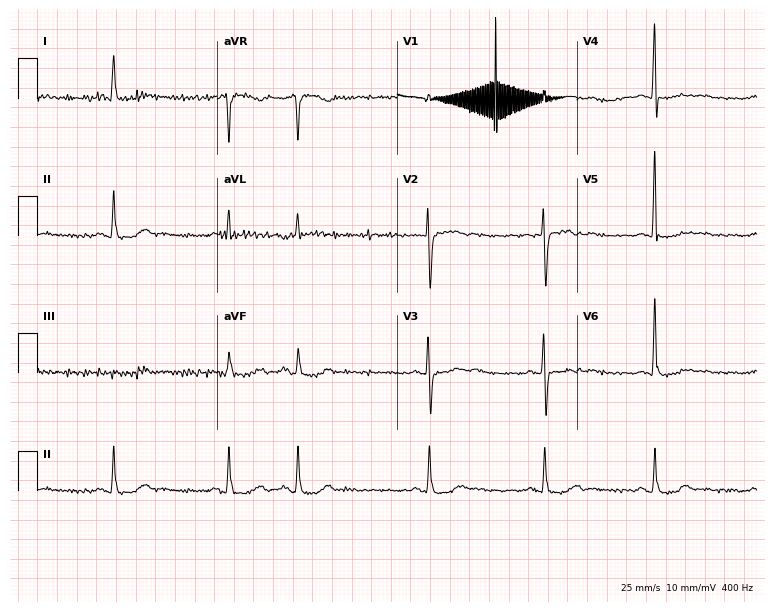
12-lead ECG from a 66-year-old female patient. No first-degree AV block, right bundle branch block (RBBB), left bundle branch block (LBBB), sinus bradycardia, atrial fibrillation (AF) or sinus tachycardia recorded for this tracing.